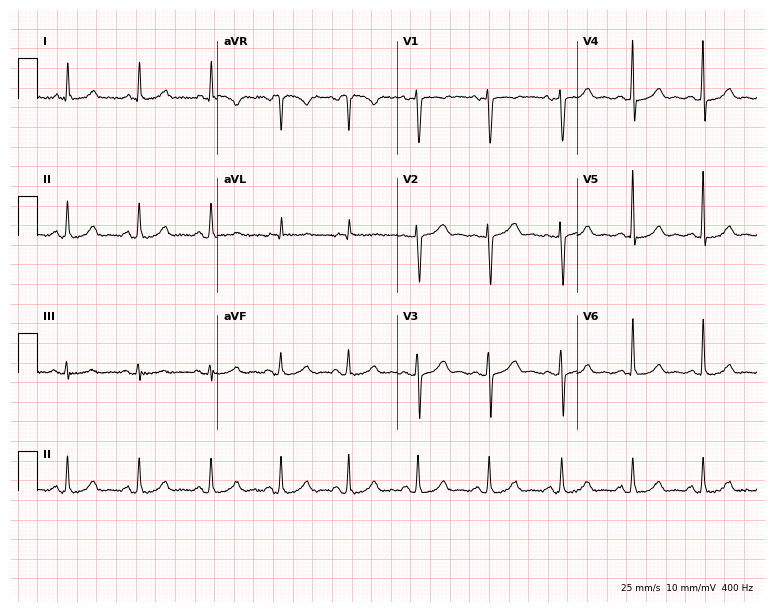
Resting 12-lead electrocardiogram (7.3-second recording at 400 Hz). Patient: a 36-year-old female. Read as a normal ECG.